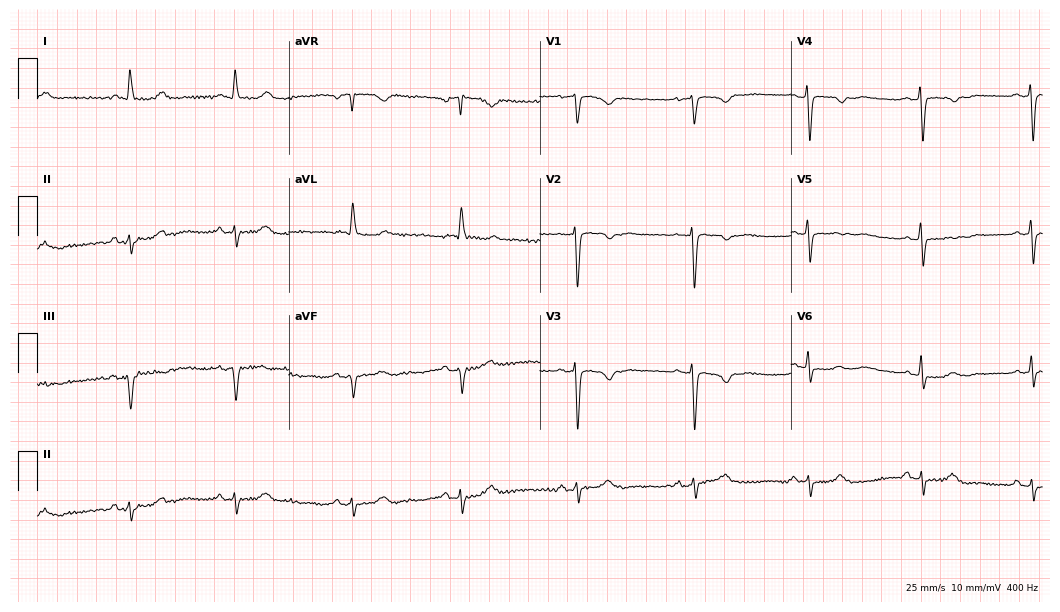
Standard 12-lead ECG recorded from a female patient, 76 years old (10.2-second recording at 400 Hz). None of these six findings is recorded: first-degree AV block, right bundle branch block, left bundle branch block, sinus bradycardia, atrial fibrillation, sinus tachycardia.